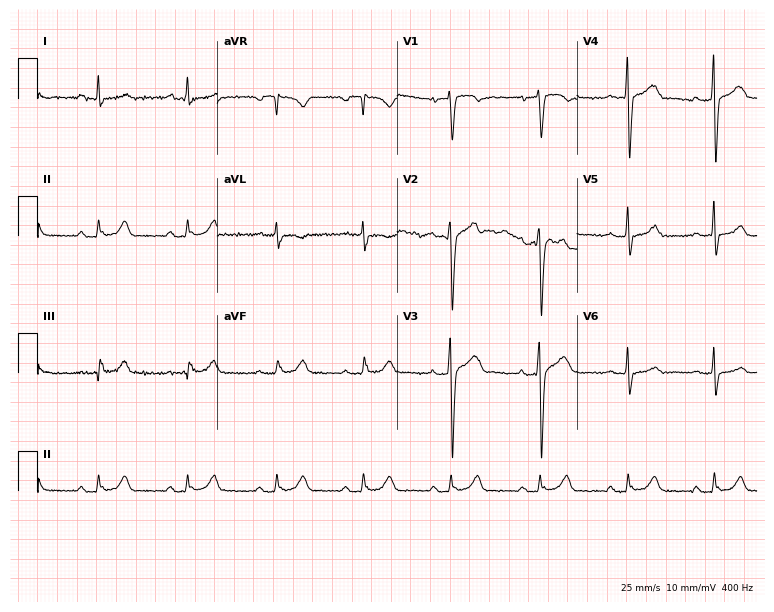
12-lead ECG from an 81-year-old male. Screened for six findings — first-degree AV block, right bundle branch block (RBBB), left bundle branch block (LBBB), sinus bradycardia, atrial fibrillation (AF), sinus tachycardia — none is recorded. Only these six findings were labelled.